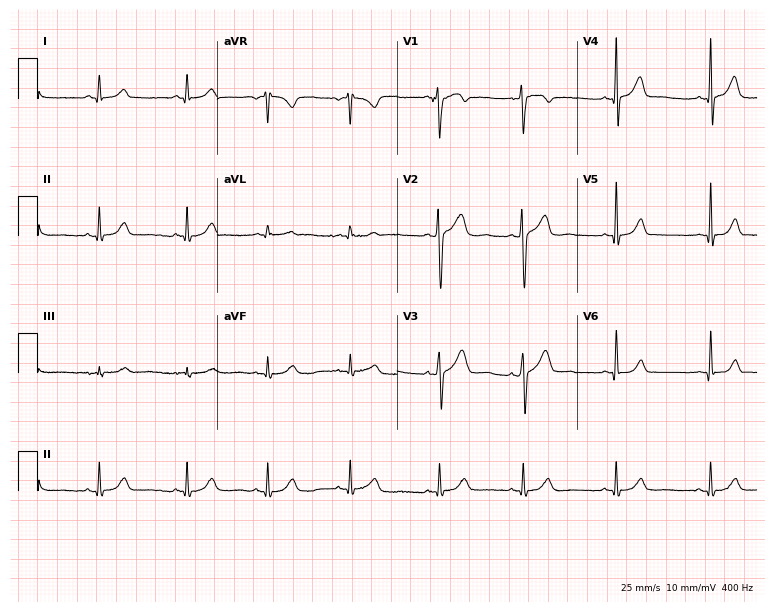
12-lead ECG (7.3-second recording at 400 Hz) from a man, 21 years old. Labelled as a normal ECG.